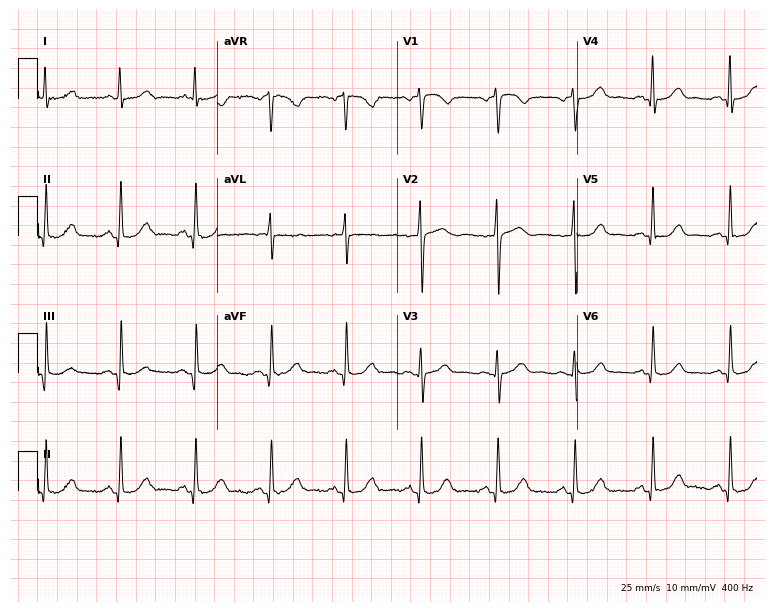
12-lead ECG from a female, 64 years old. Recorded interpretation: within normal limits.